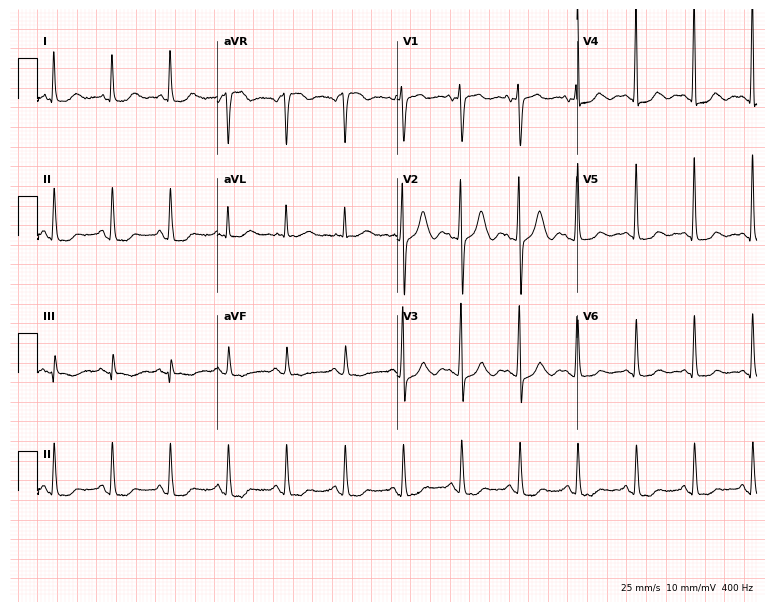
12-lead ECG from a female, 79 years old. Labelled as a normal ECG.